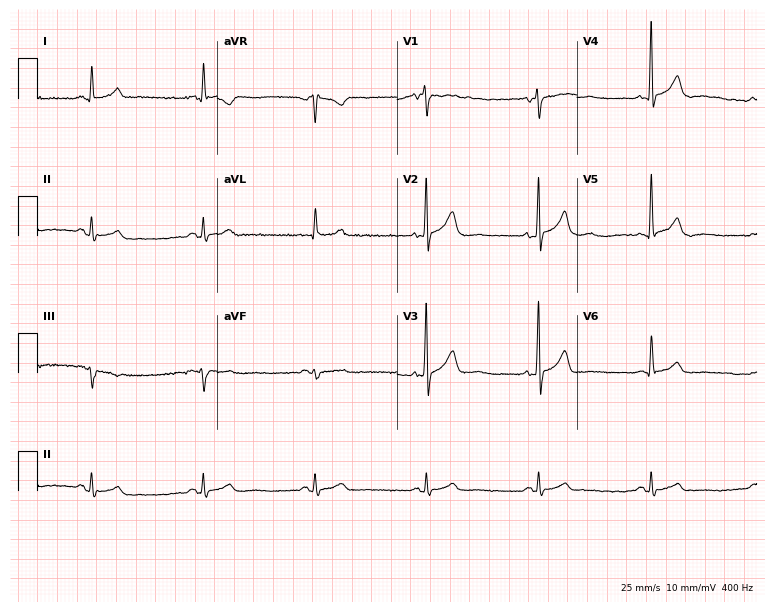
Electrocardiogram, a 55-year-old man. Overall reading on record: normal ECG.